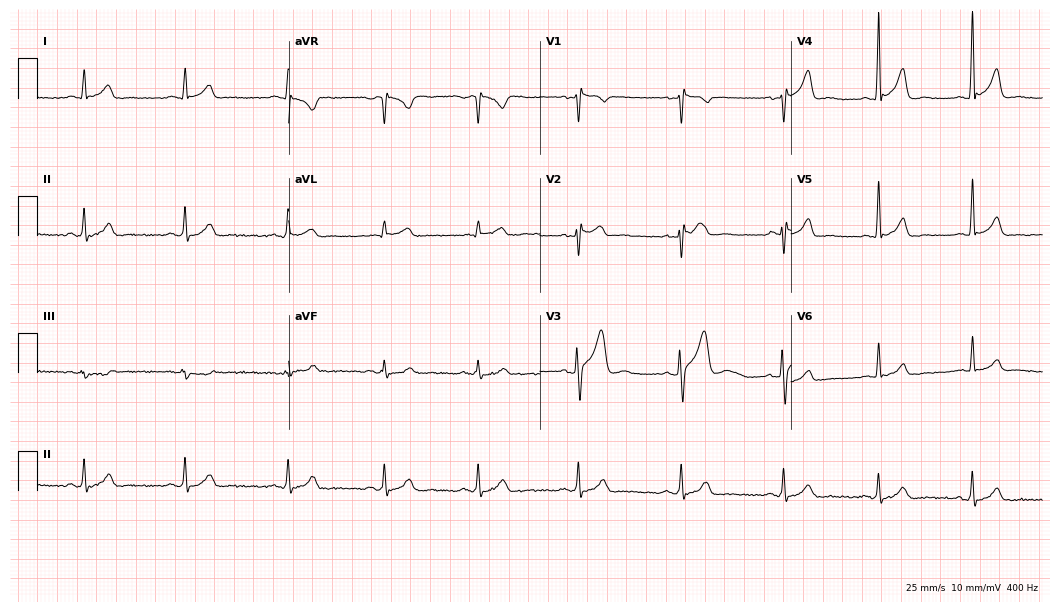
Standard 12-lead ECG recorded from a male, 28 years old. Read as a normal ECG.